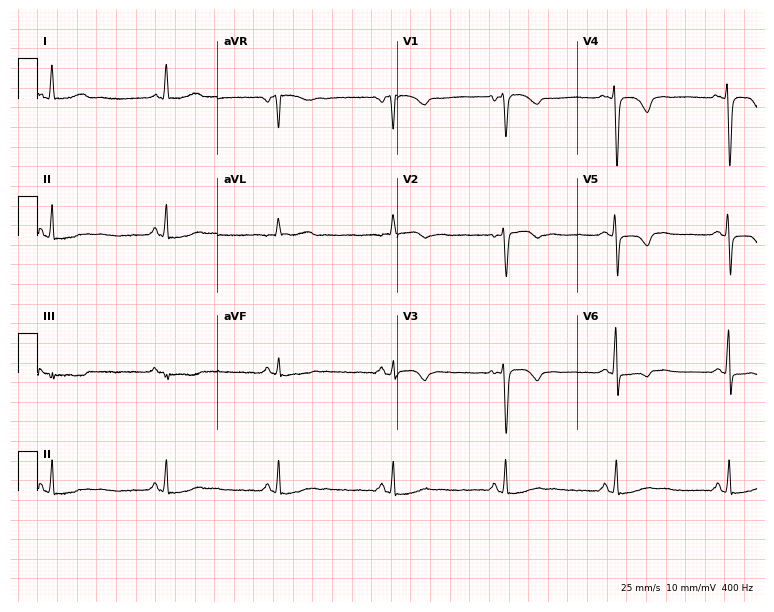
ECG — a female patient, 68 years old. Screened for six findings — first-degree AV block, right bundle branch block (RBBB), left bundle branch block (LBBB), sinus bradycardia, atrial fibrillation (AF), sinus tachycardia — none is recorded. Findings outside these six are not listed.